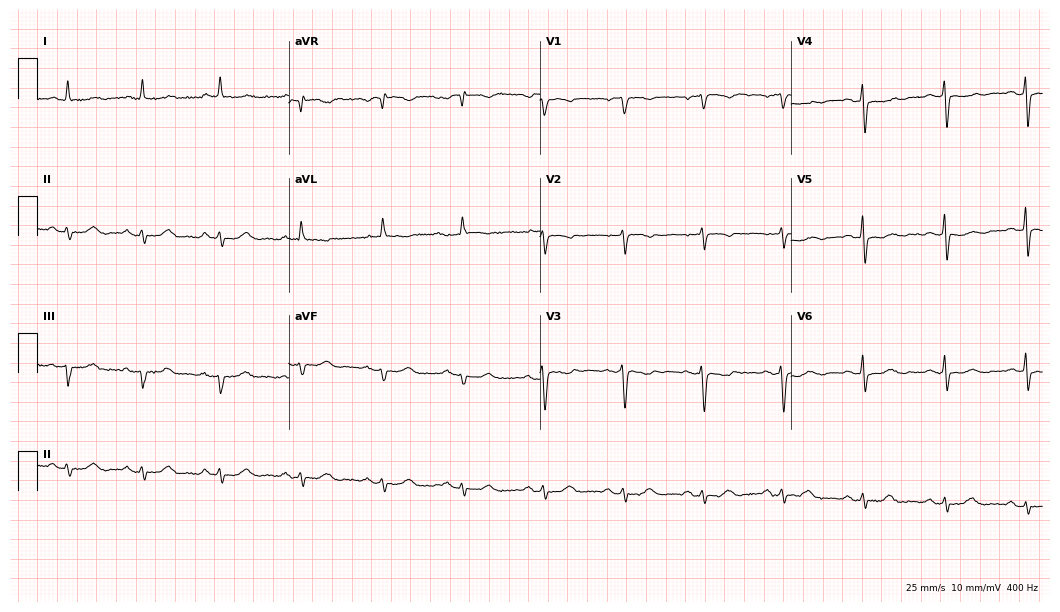
12-lead ECG from a female patient, 67 years old. Screened for six findings — first-degree AV block, right bundle branch block, left bundle branch block, sinus bradycardia, atrial fibrillation, sinus tachycardia — none is recorded.